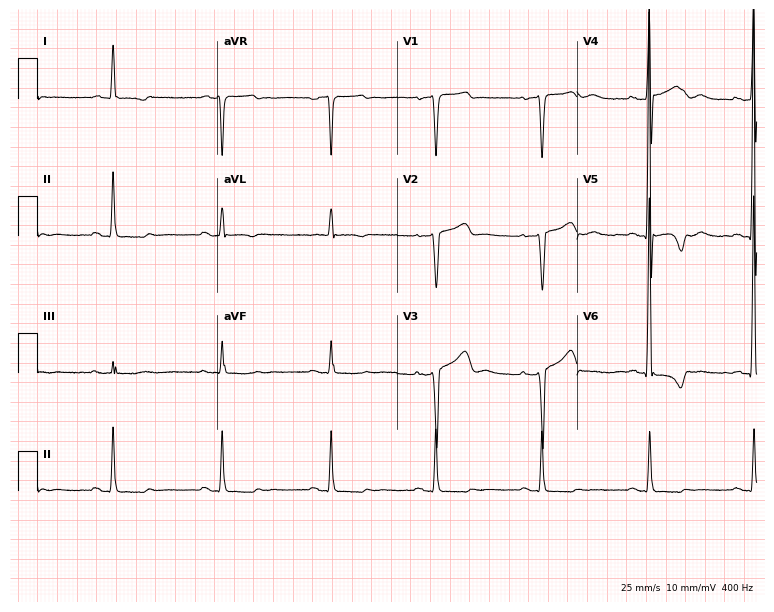
Electrocardiogram (7.3-second recording at 400 Hz), a 52-year-old female patient. Of the six screened findings (first-degree AV block, right bundle branch block, left bundle branch block, sinus bradycardia, atrial fibrillation, sinus tachycardia), none is recorded. Only these six findings were labelled.